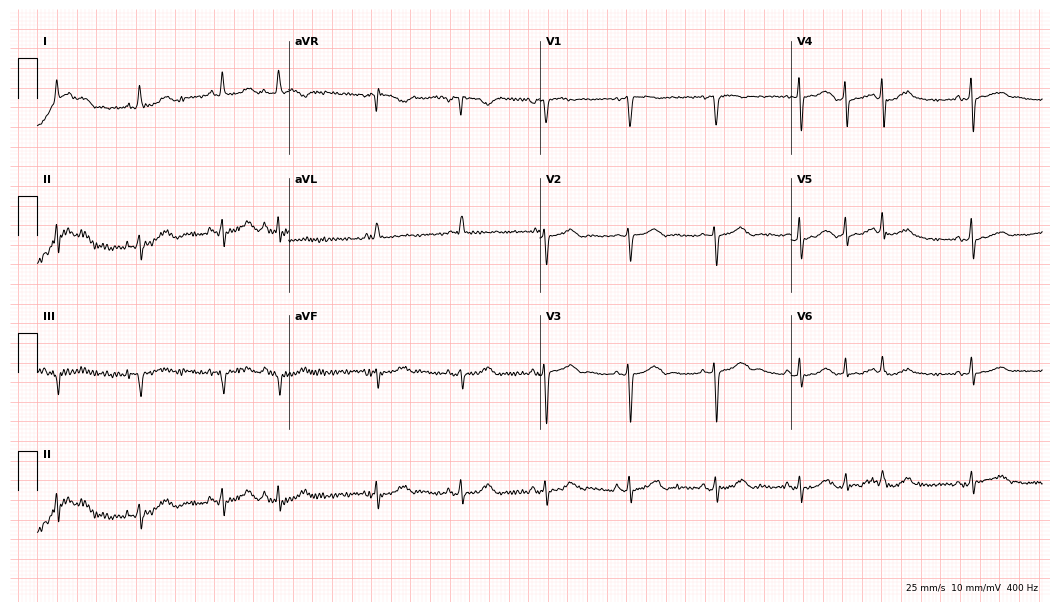
Electrocardiogram, an 86-year-old woman. Of the six screened findings (first-degree AV block, right bundle branch block, left bundle branch block, sinus bradycardia, atrial fibrillation, sinus tachycardia), none is recorded.